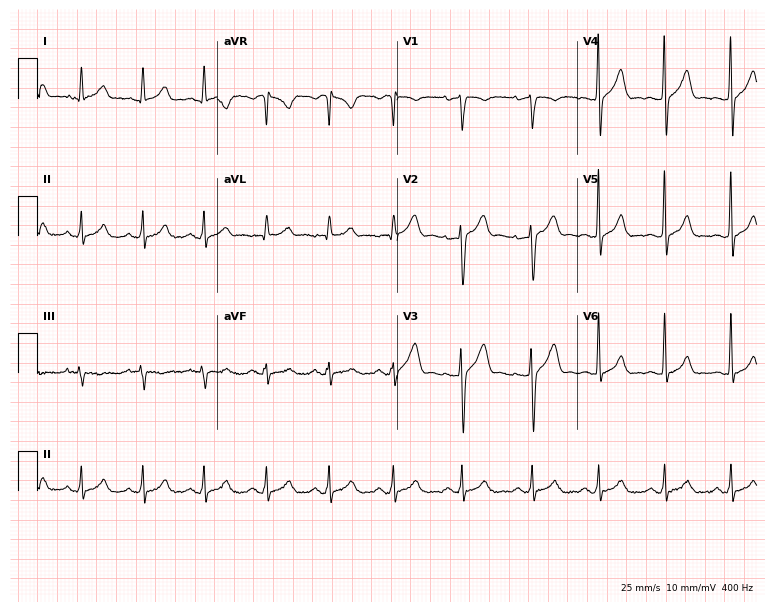
Resting 12-lead electrocardiogram (7.3-second recording at 400 Hz). Patient: a male, 26 years old. Read as a normal ECG.